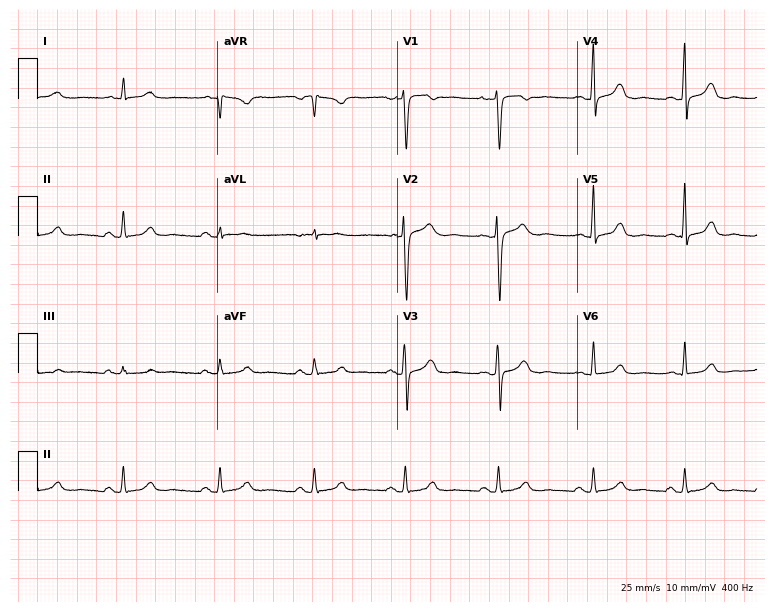
Resting 12-lead electrocardiogram. Patient: a female, 53 years old. Read as a normal ECG.